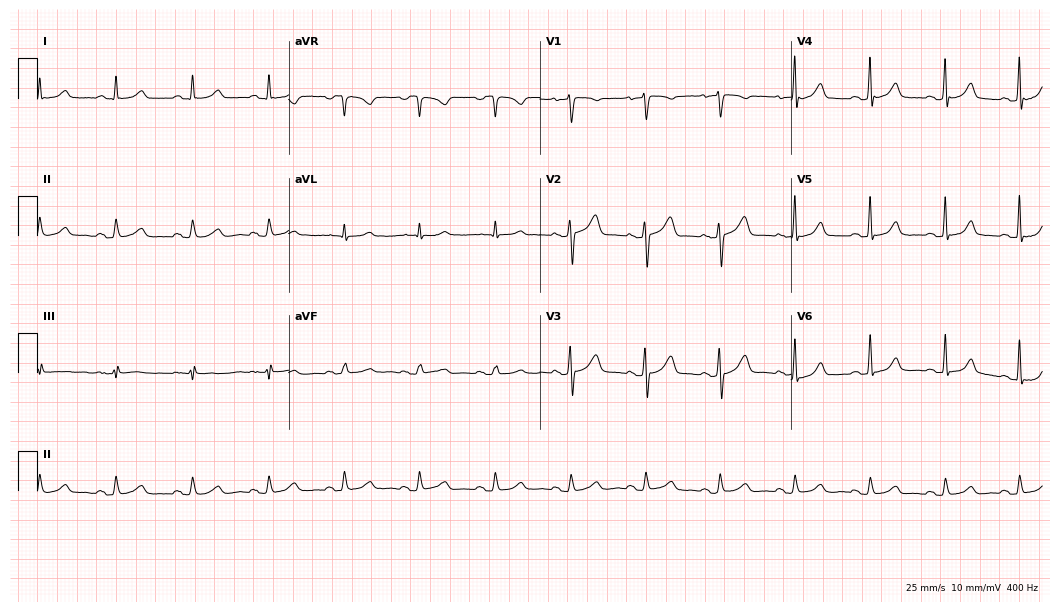
Electrocardiogram (10.2-second recording at 400 Hz), a 59-year-old woman. Overall reading on record: normal ECG.